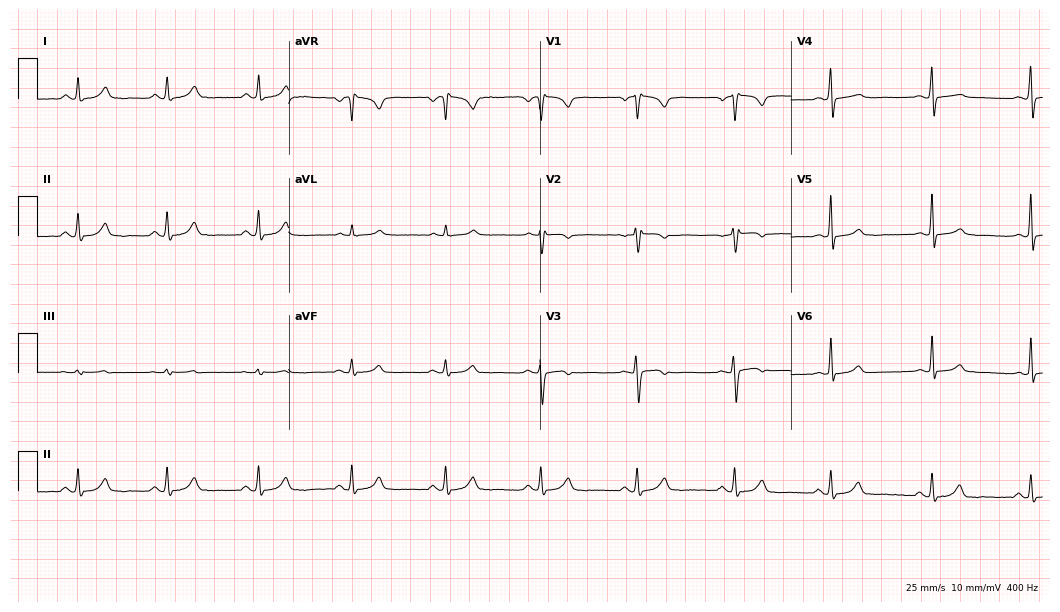
12-lead ECG from a woman, 60 years old. No first-degree AV block, right bundle branch block, left bundle branch block, sinus bradycardia, atrial fibrillation or sinus tachycardia recorded for this tracing. Only these six findings were labelled.